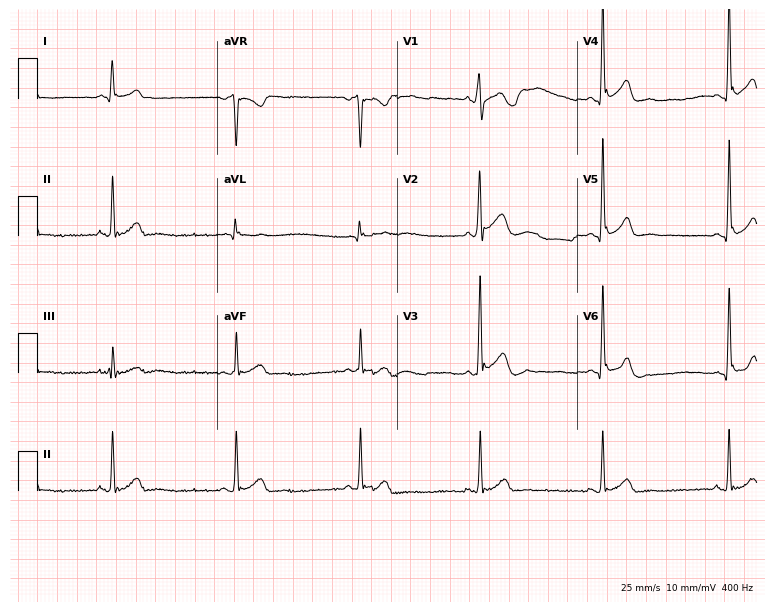
12-lead ECG (7.3-second recording at 400 Hz) from a male patient, 19 years old. Labelled as a normal ECG.